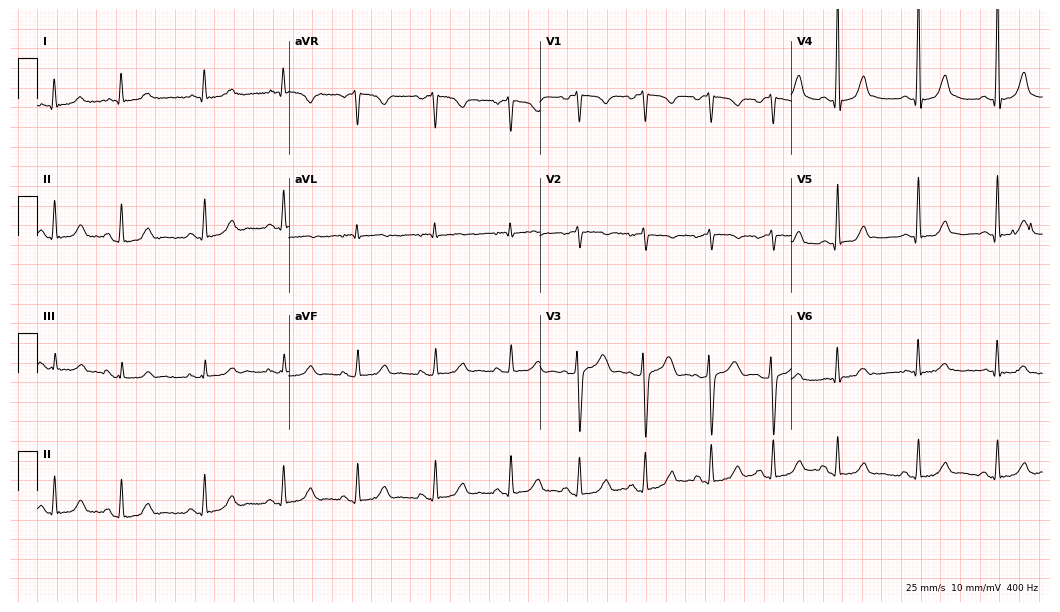
12-lead ECG from a 24-year-old woman (10.2-second recording at 400 Hz). No first-degree AV block, right bundle branch block (RBBB), left bundle branch block (LBBB), sinus bradycardia, atrial fibrillation (AF) or sinus tachycardia recorded for this tracing. Other findings, if any, are not listed.